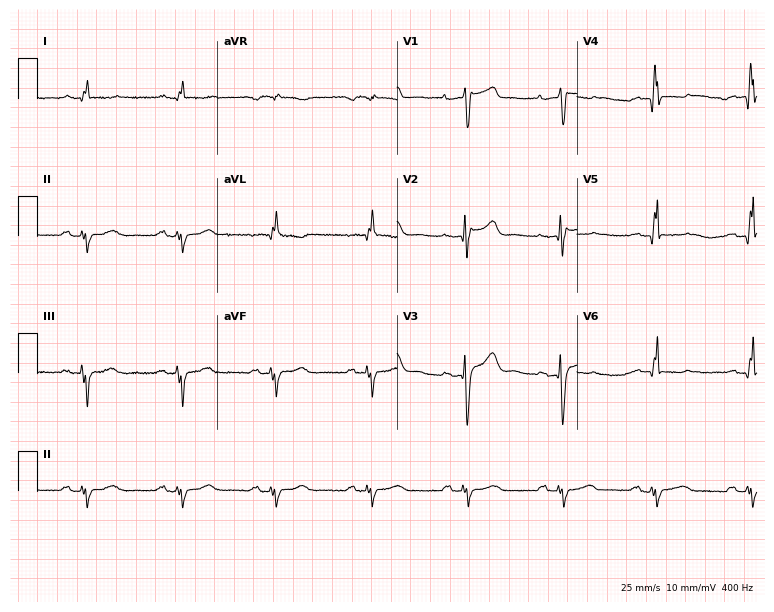
12-lead ECG from a 54-year-old man (7.3-second recording at 400 Hz). No first-degree AV block, right bundle branch block (RBBB), left bundle branch block (LBBB), sinus bradycardia, atrial fibrillation (AF) or sinus tachycardia recorded for this tracing.